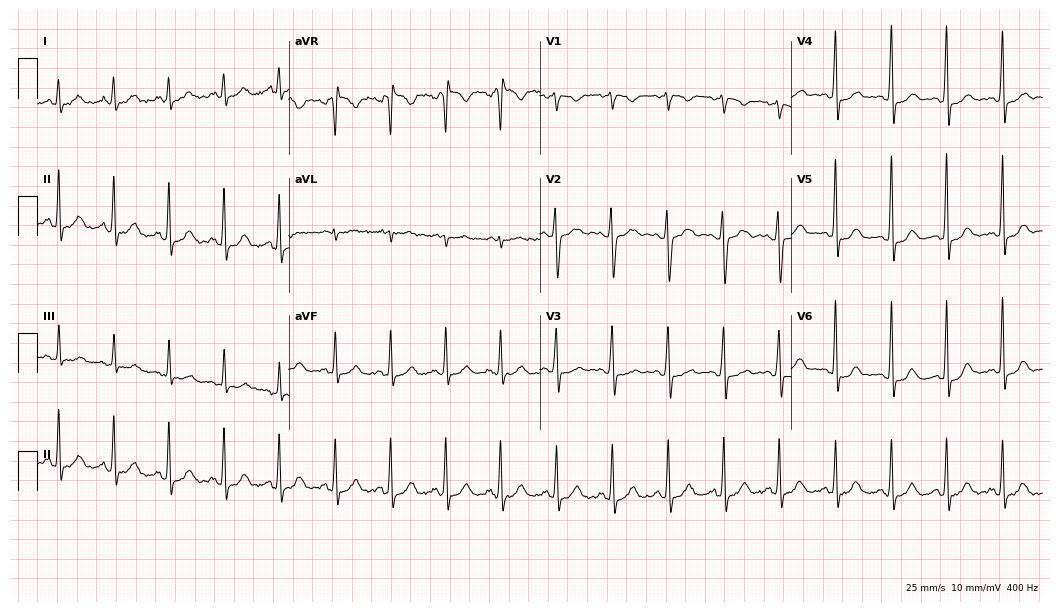
Standard 12-lead ECG recorded from a woman, 21 years old. The tracing shows sinus tachycardia (a sinus rate of 100 beats per minute or more).